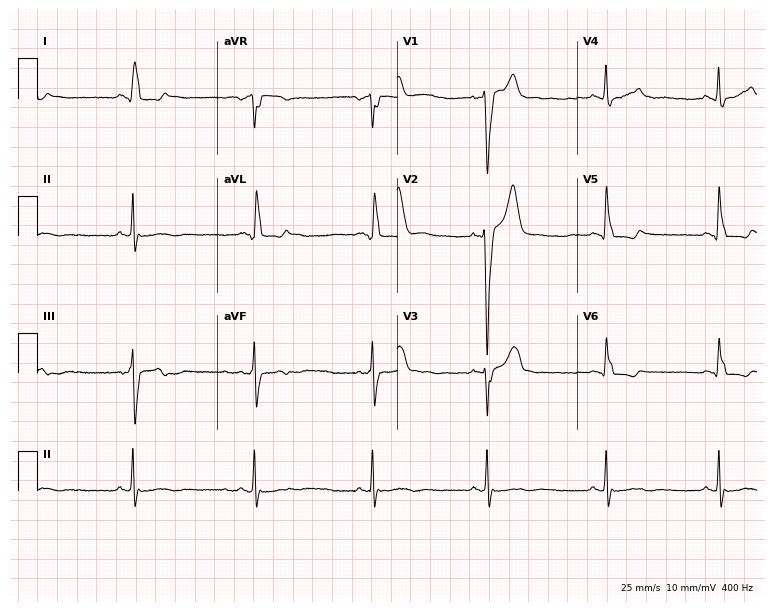
Resting 12-lead electrocardiogram. Patient: a female, 44 years old. None of these six findings is recorded: first-degree AV block, right bundle branch block, left bundle branch block, sinus bradycardia, atrial fibrillation, sinus tachycardia.